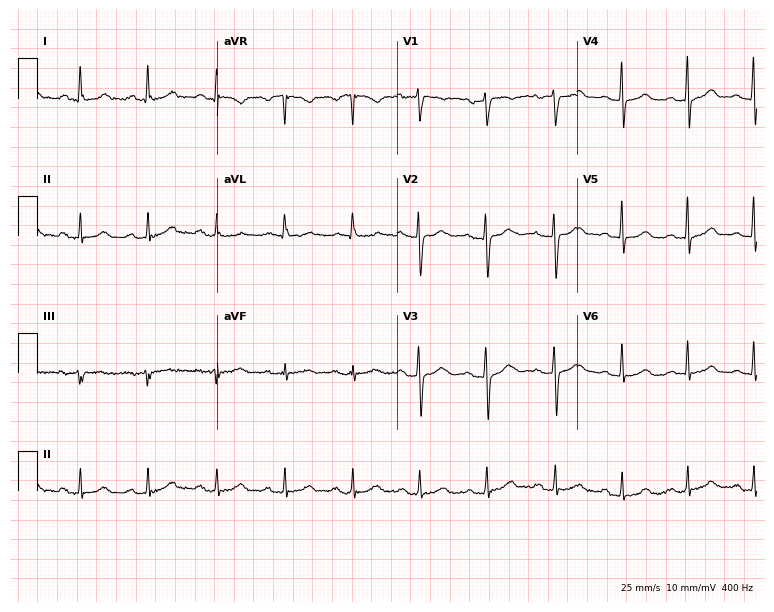
12-lead ECG from a 32-year-old female patient. Recorded interpretation: within normal limits.